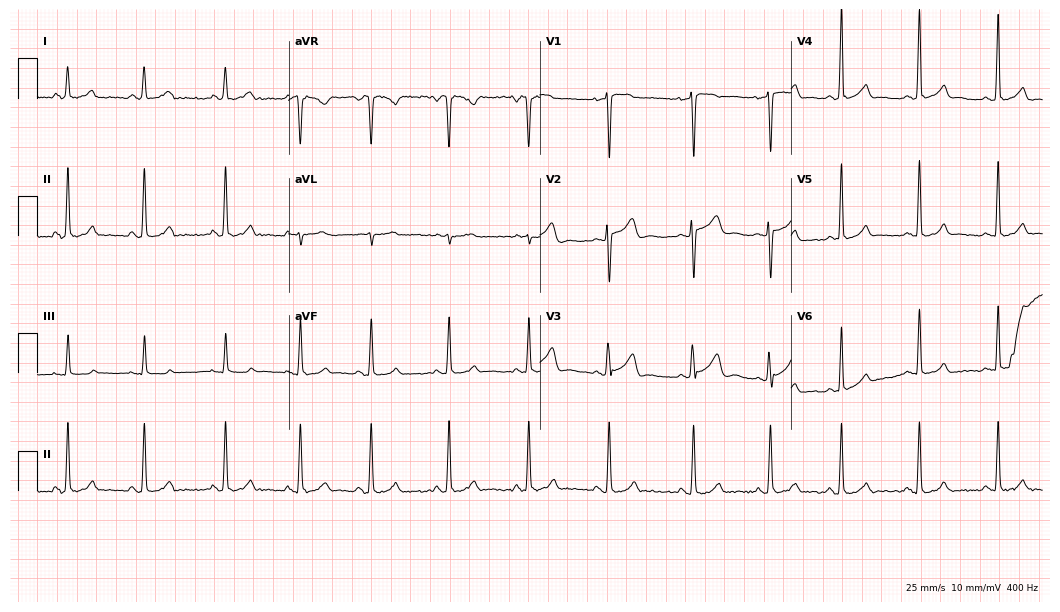
12-lead ECG from a female, 25 years old (10.2-second recording at 400 Hz). Recorded interpretation: within normal limits.